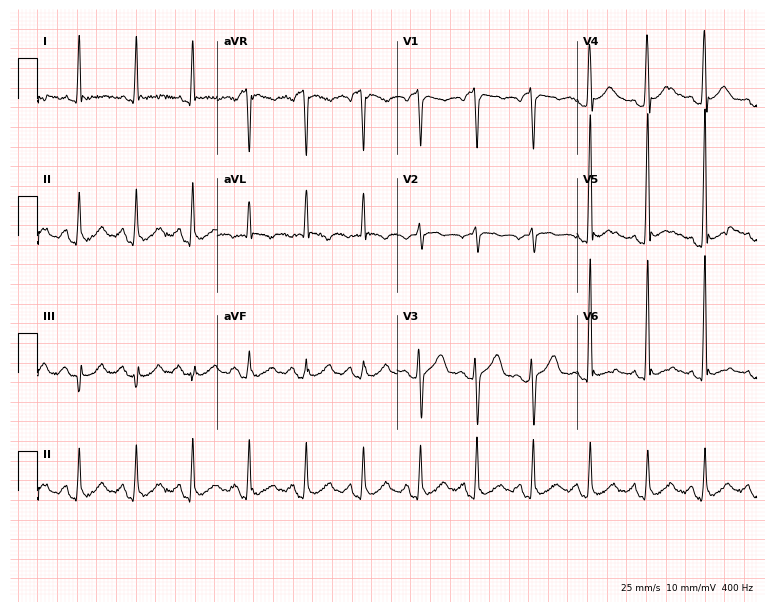
ECG — a 71-year-old man. Screened for six findings — first-degree AV block, right bundle branch block (RBBB), left bundle branch block (LBBB), sinus bradycardia, atrial fibrillation (AF), sinus tachycardia — none is recorded.